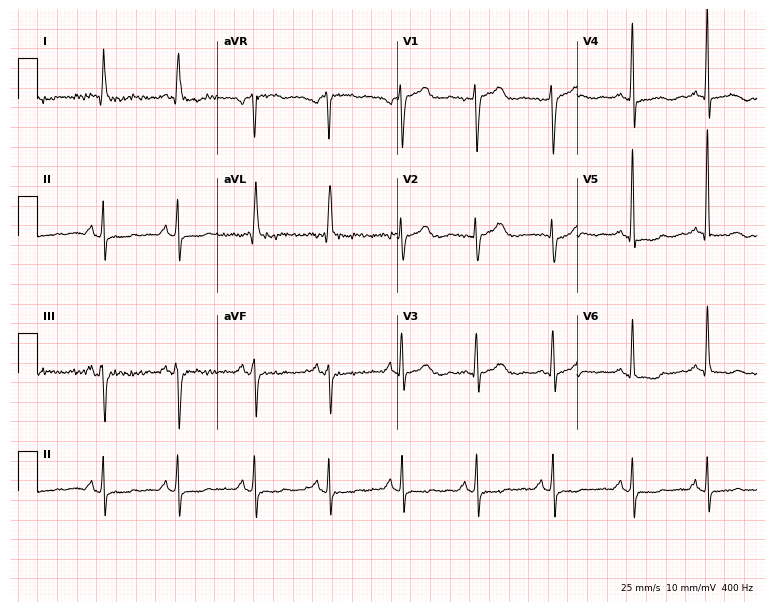
Electrocardiogram (7.3-second recording at 400 Hz), an 80-year-old female. Of the six screened findings (first-degree AV block, right bundle branch block (RBBB), left bundle branch block (LBBB), sinus bradycardia, atrial fibrillation (AF), sinus tachycardia), none is recorded. Other findings, if any, are not listed.